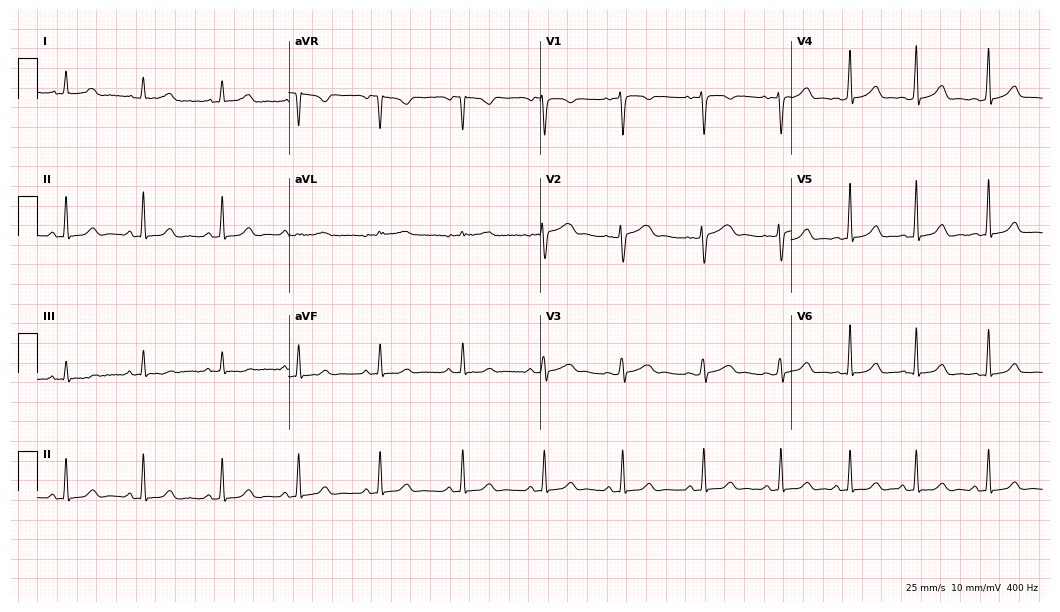
12-lead ECG (10.2-second recording at 400 Hz) from a 23-year-old female. Labelled as a normal ECG.